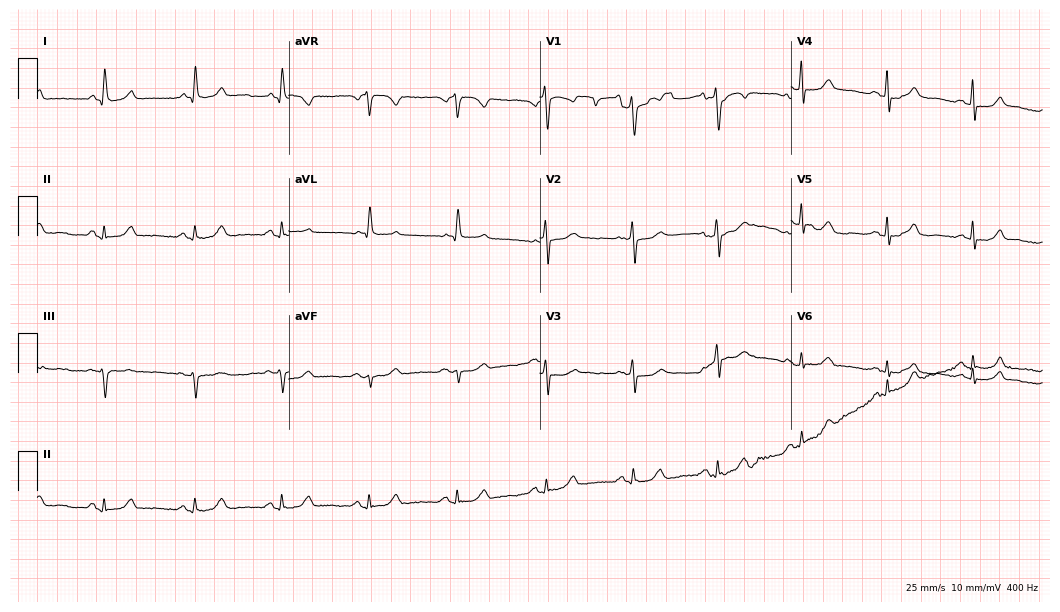
12-lead ECG from a woman, 76 years old. Recorded interpretation: within normal limits.